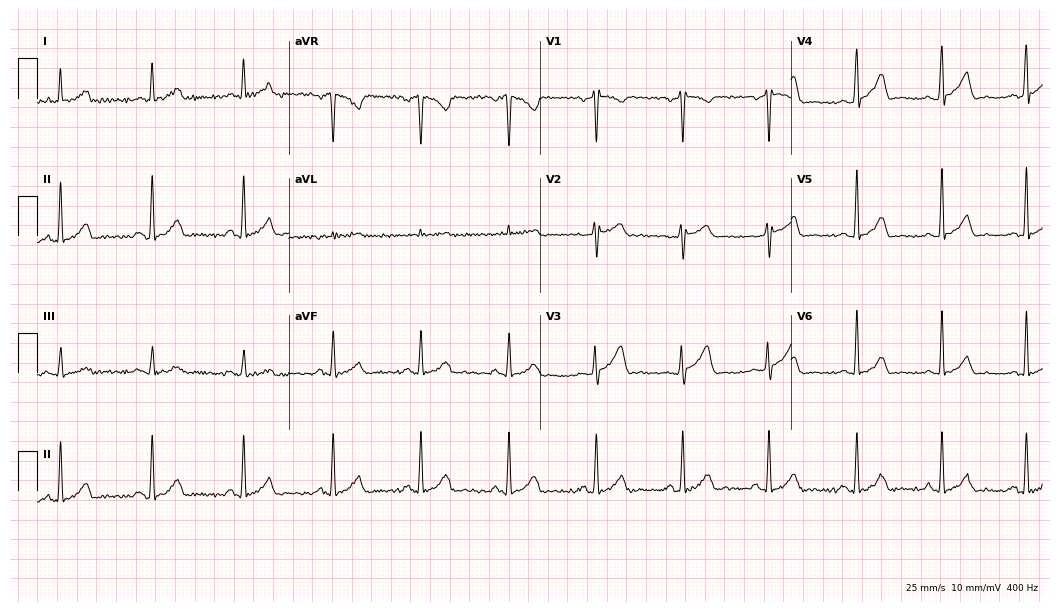
Electrocardiogram (10.2-second recording at 400 Hz), a man, 41 years old. Of the six screened findings (first-degree AV block, right bundle branch block, left bundle branch block, sinus bradycardia, atrial fibrillation, sinus tachycardia), none is recorded. Other findings, if any, are not listed.